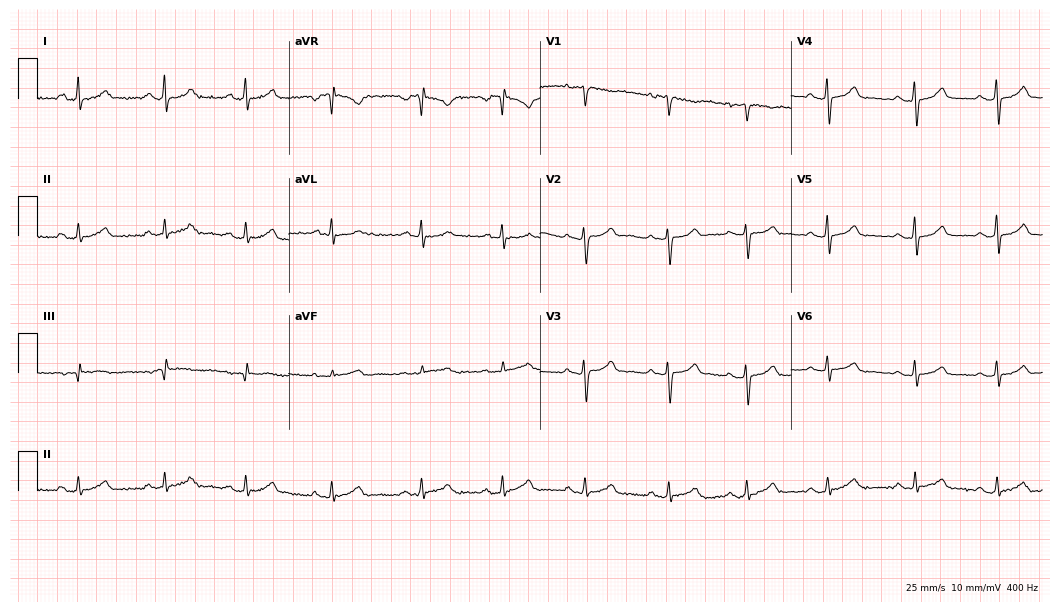
12-lead ECG from a female patient, 35 years old. Labelled as a normal ECG.